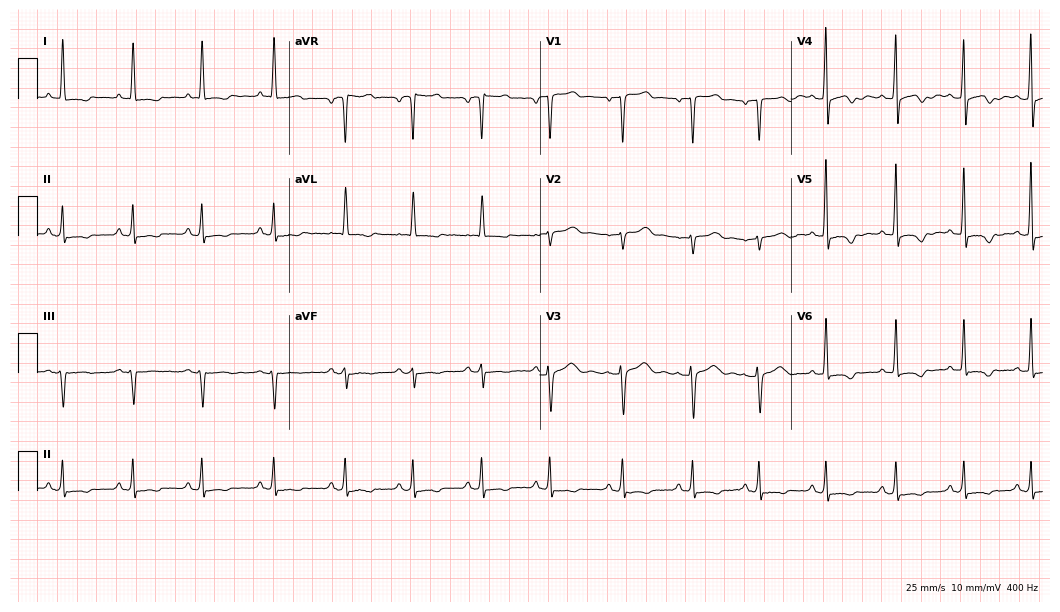
Standard 12-lead ECG recorded from a 50-year-old female patient. None of these six findings is recorded: first-degree AV block, right bundle branch block, left bundle branch block, sinus bradycardia, atrial fibrillation, sinus tachycardia. Other findings, if any, are not listed.